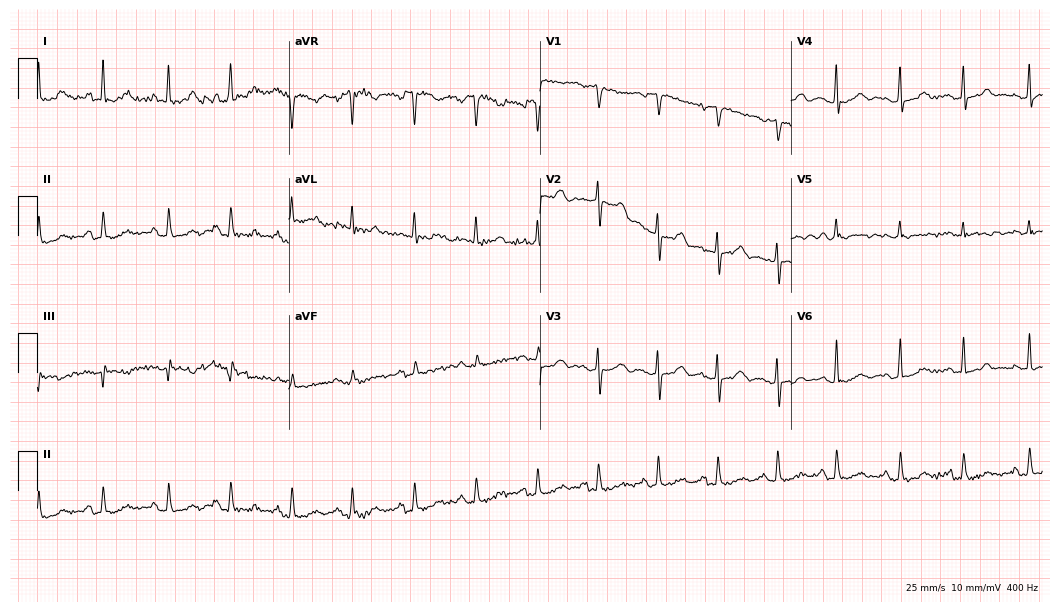
Standard 12-lead ECG recorded from a woman, 79 years old. None of these six findings is recorded: first-degree AV block, right bundle branch block, left bundle branch block, sinus bradycardia, atrial fibrillation, sinus tachycardia. Findings outside these six are not listed.